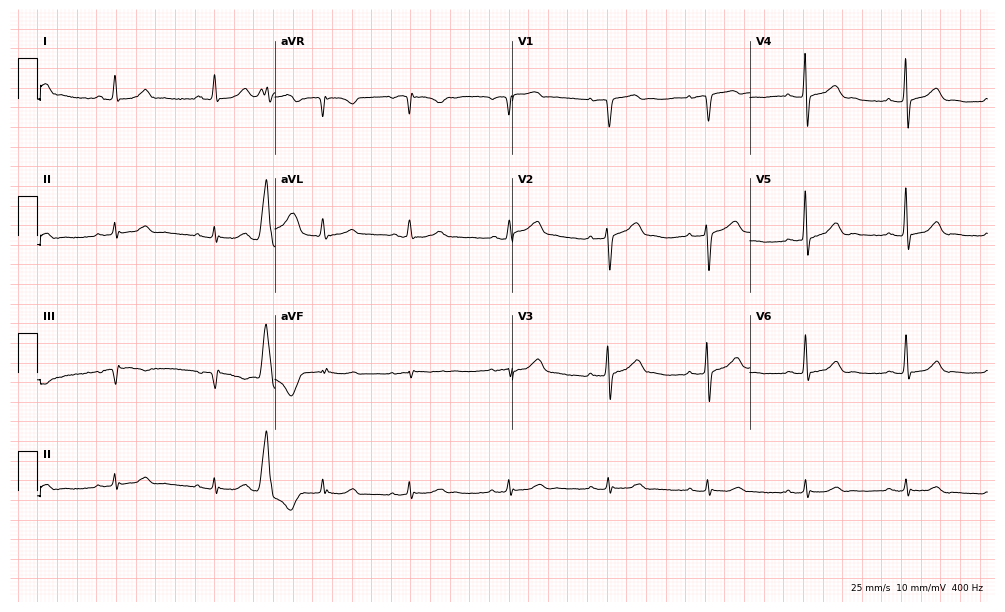
Resting 12-lead electrocardiogram (9.7-second recording at 400 Hz). Patient: a 63-year-old man. None of these six findings is recorded: first-degree AV block, right bundle branch block, left bundle branch block, sinus bradycardia, atrial fibrillation, sinus tachycardia.